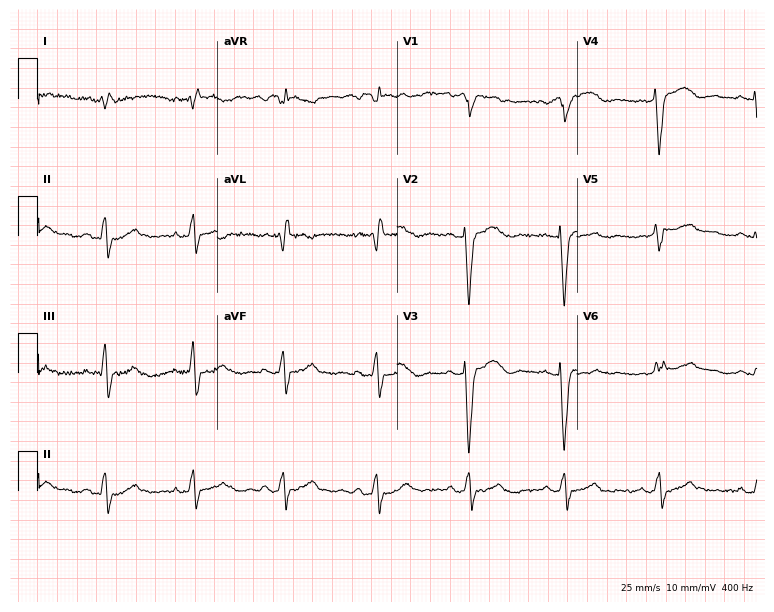
Standard 12-lead ECG recorded from a female, 68 years old. The tracing shows left bundle branch block (LBBB).